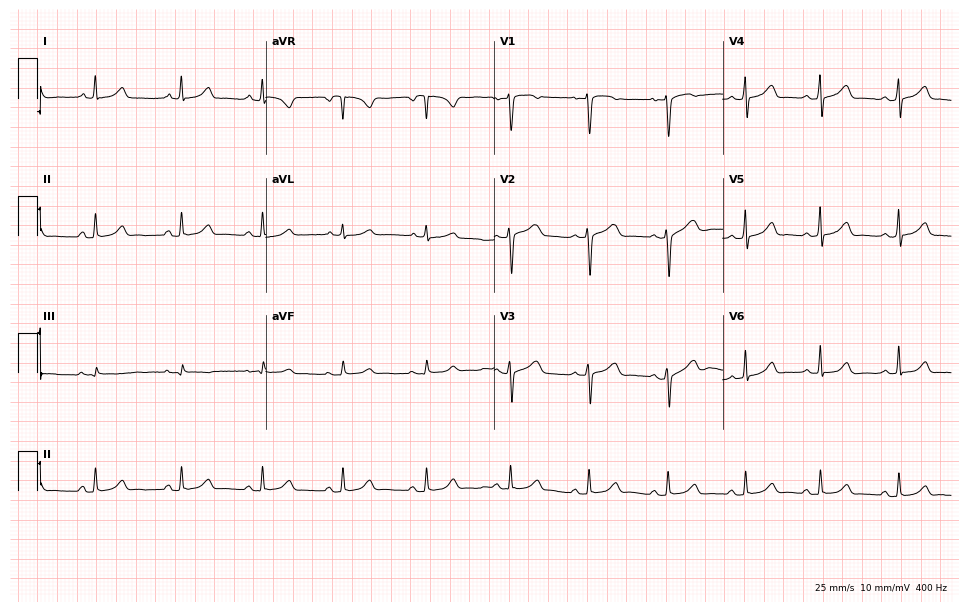
ECG (9.3-second recording at 400 Hz) — a 20-year-old woman. Labelled as a normal ECG.